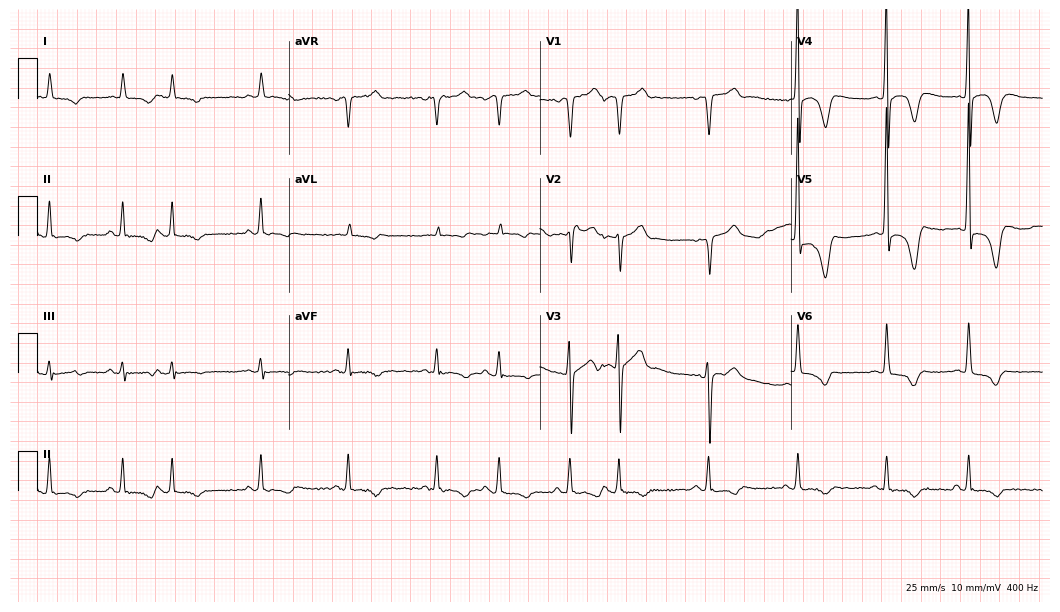
ECG — a 74-year-old man. Screened for six findings — first-degree AV block, right bundle branch block, left bundle branch block, sinus bradycardia, atrial fibrillation, sinus tachycardia — none is recorded. Findings outside these six are not listed.